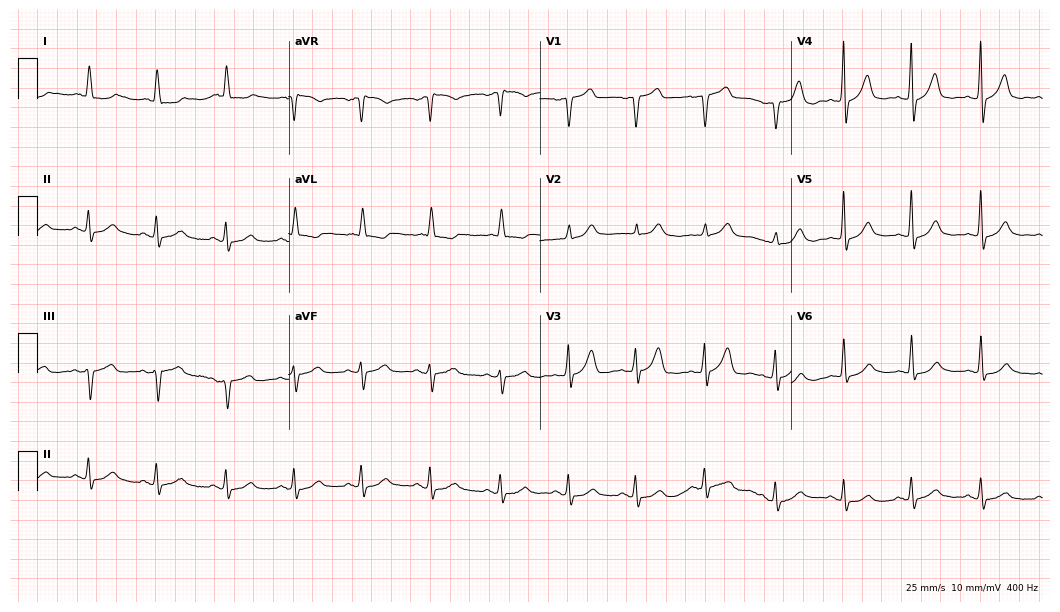
Resting 12-lead electrocardiogram. Patient: a 77-year-old female. Read as a normal ECG.